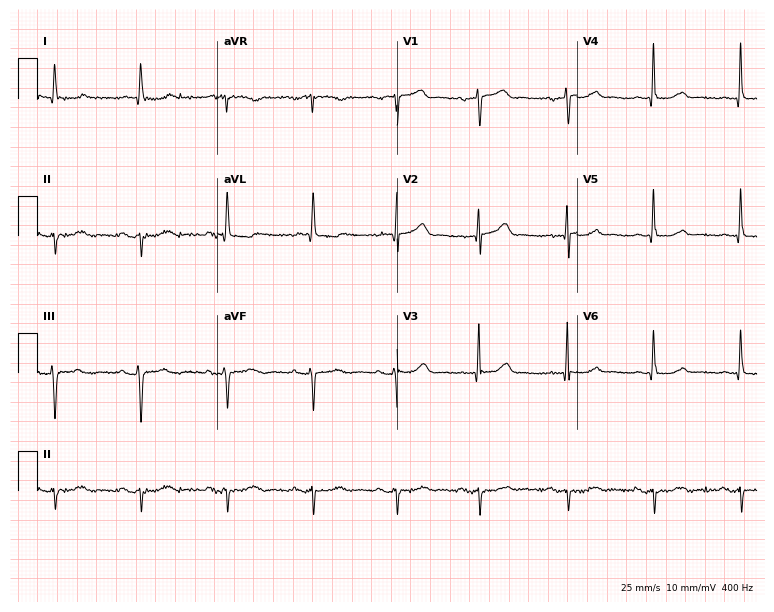
Standard 12-lead ECG recorded from an 82-year-old female patient (7.3-second recording at 400 Hz). None of these six findings is recorded: first-degree AV block, right bundle branch block, left bundle branch block, sinus bradycardia, atrial fibrillation, sinus tachycardia.